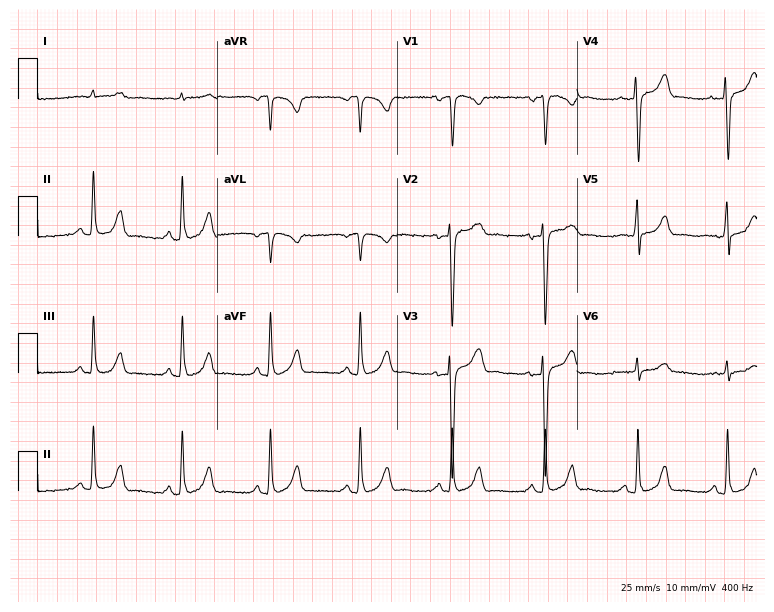
ECG — a male, 64 years old. Labelled as a normal ECG.